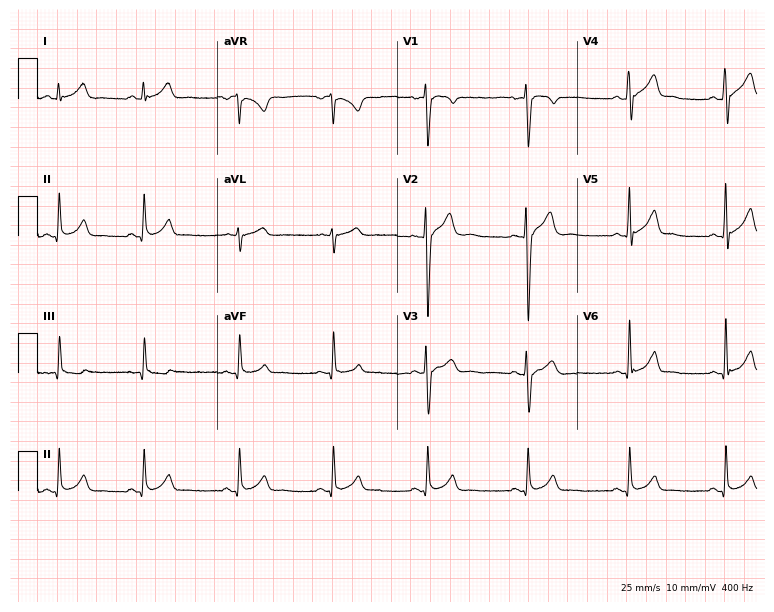
12-lead ECG from a 27-year-old male. Screened for six findings — first-degree AV block, right bundle branch block, left bundle branch block, sinus bradycardia, atrial fibrillation, sinus tachycardia — none is recorded. Other findings, if any, are not listed.